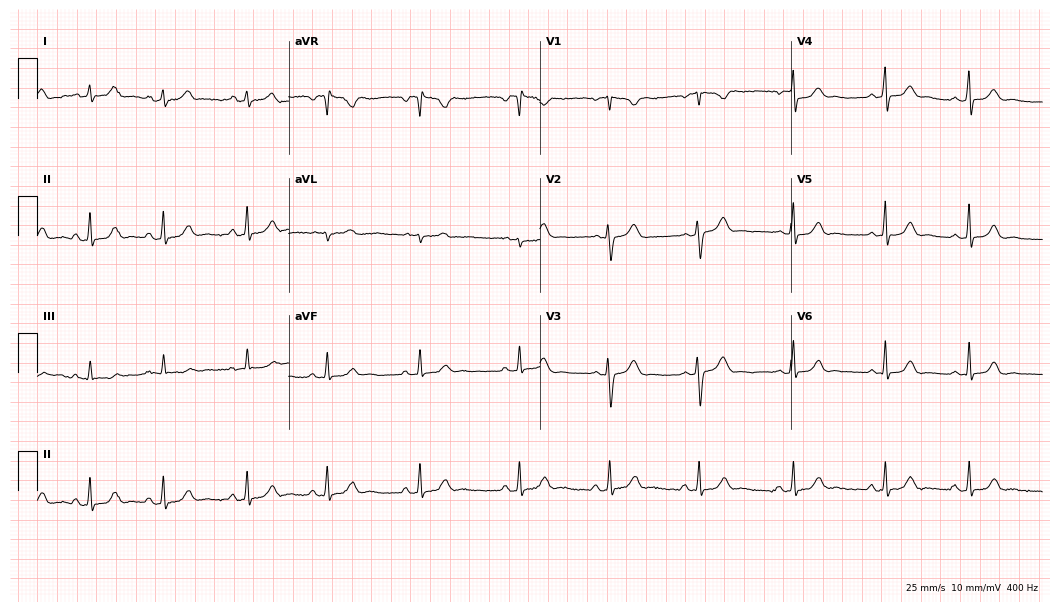
Resting 12-lead electrocardiogram. Patient: a female, 26 years old. Read as a normal ECG.